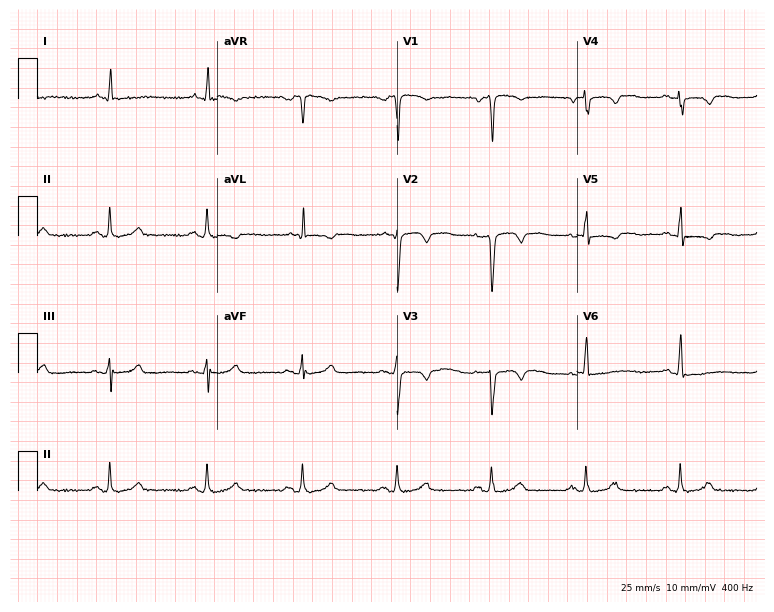
12-lead ECG (7.3-second recording at 400 Hz) from a 65-year-old male patient. Screened for six findings — first-degree AV block, right bundle branch block, left bundle branch block, sinus bradycardia, atrial fibrillation, sinus tachycardia — none is recorded.